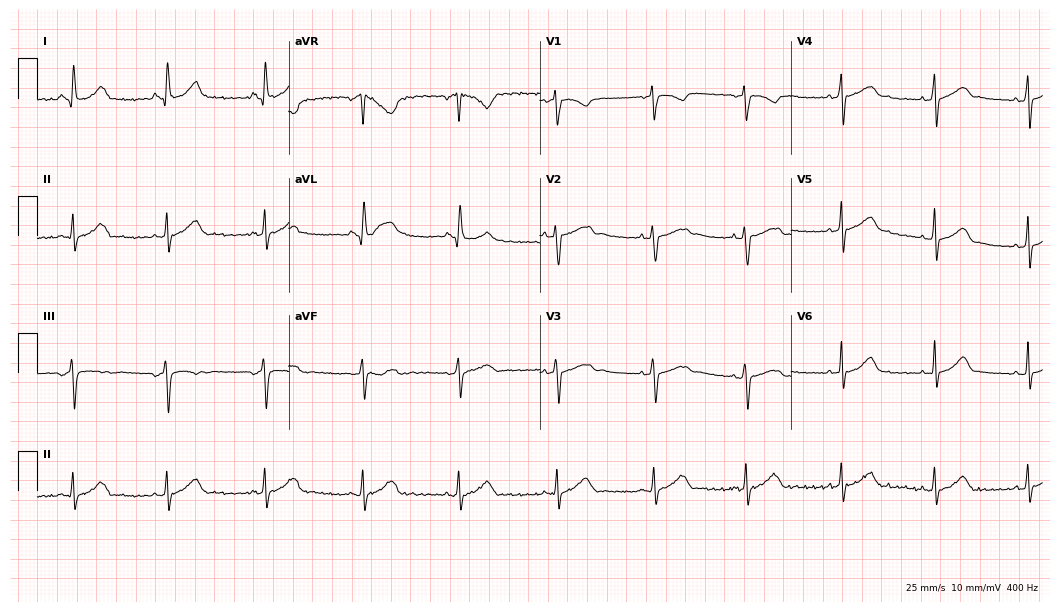
12-lead ECG from a woman, 17 years old. Recorded interpretation: within normal limits.